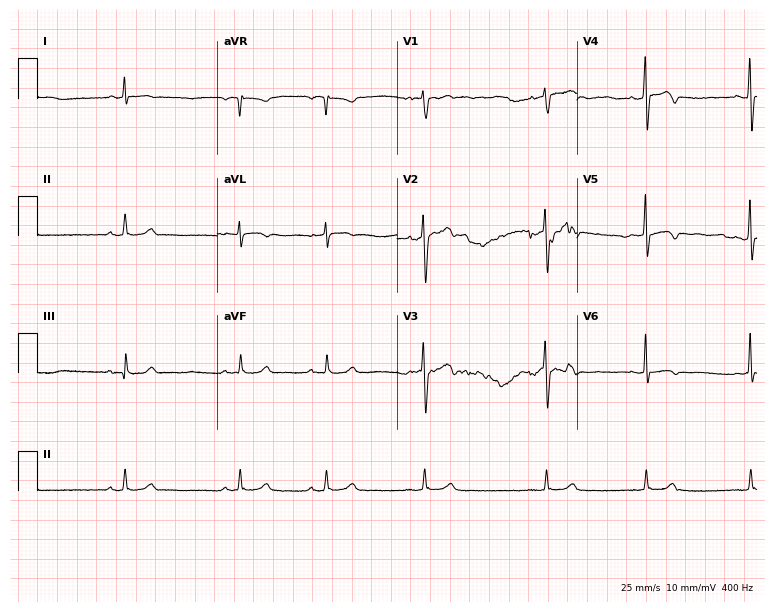
ECG — a woman, 21 years old. Screened for six findings — first-degree AV block, right bundle branch block (RBBB), left bundle branch block (LBBB), sinus bradycardia, atrial fibrillation (AF), sinus tachycardia — none is recorded.